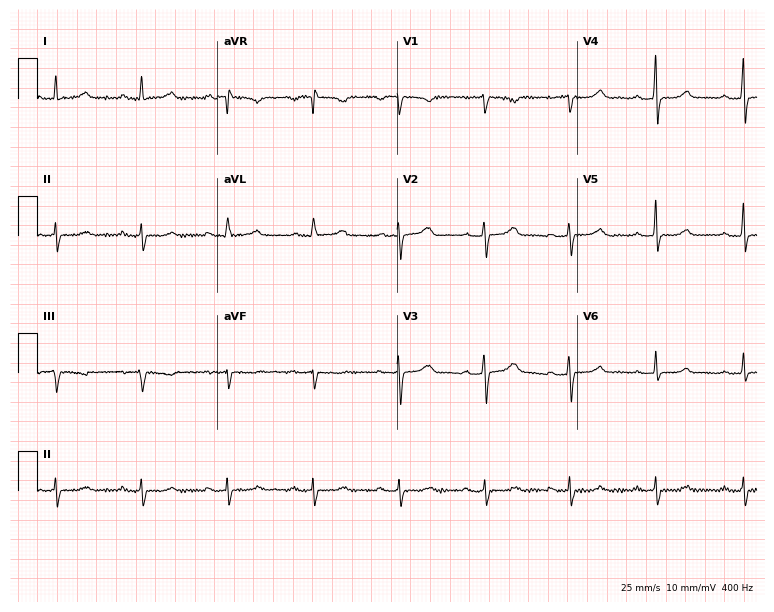
Standard 12-lead ECG recorded from a 58-year-old female. The tracing shows first-degree AV block.